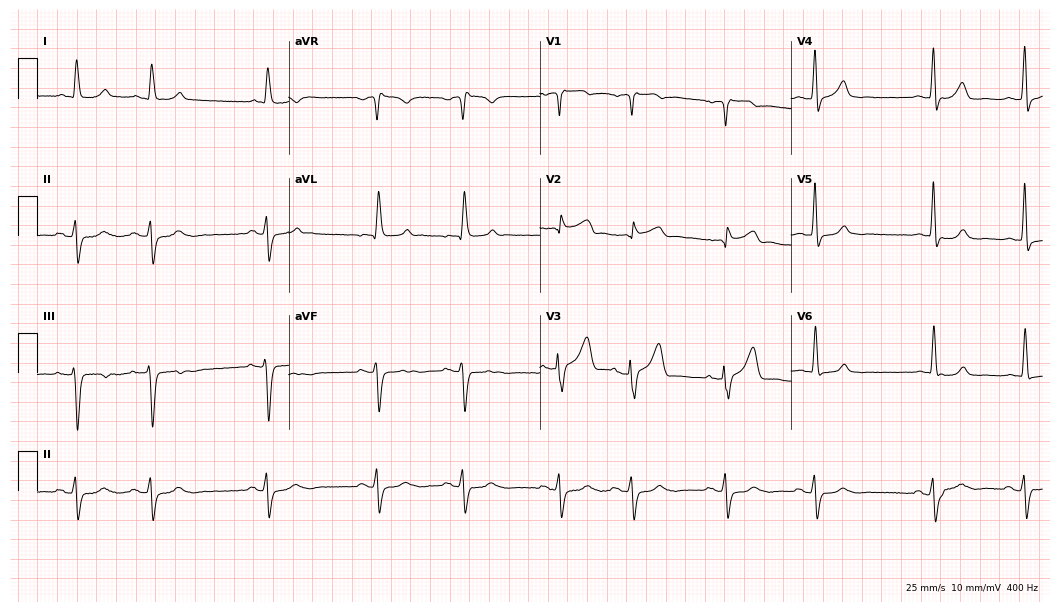
ECG (10.2-second recording at 400 Hz) — a 69-year-old male patient. Screened for six findings — first-degree AV block, right bundle branch block, left bundle branch block, sinus bradycardia, atrial fibrillation, sinus tachycardia — none is recorded.